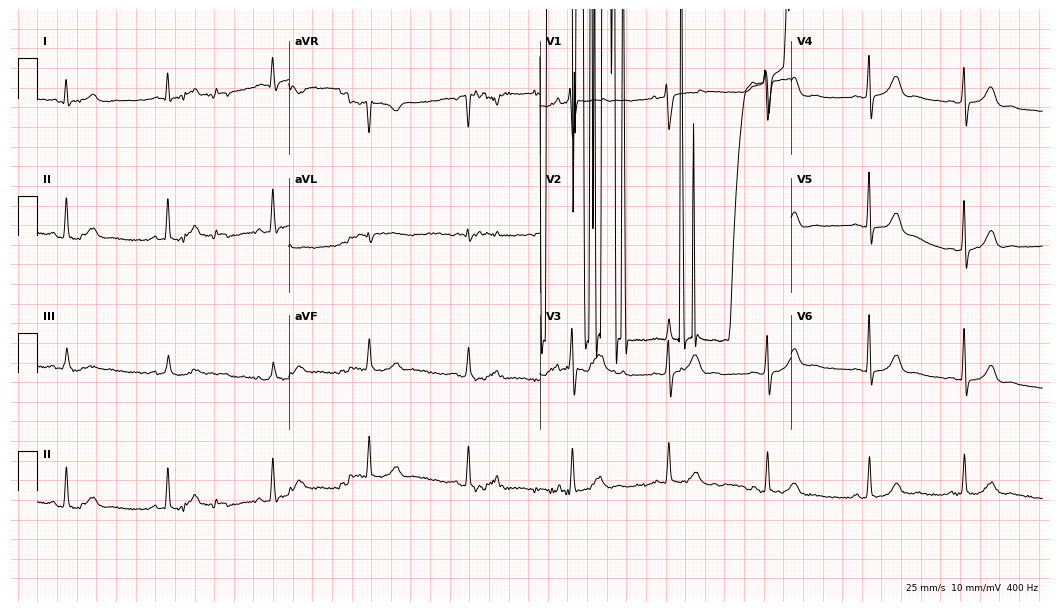
Standard 12-lead ECG recorded from a female patient, 30 years old (10.2-second recording at 400 Hz). None of these six findings is recorded: first-degree AV block, right bundle branch block, left bundle branch block, sinus bradycardia, atrial fibrillation, sinus tachycardia. Other findings, if any, are not listed.